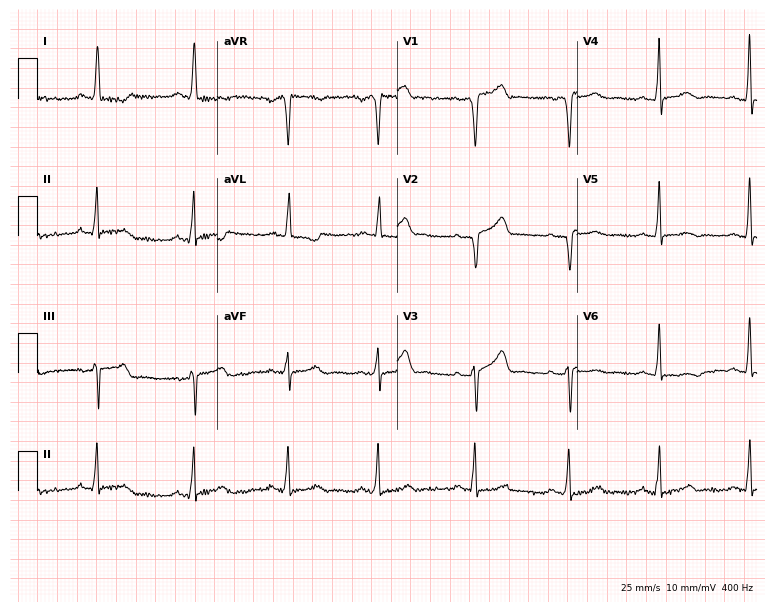
12-lead ECG from a 44-year-old woman. Screened for six findings — first-degree AV block, right bundle branch block, left bundle branch block, sinus bradycardia, atrial fibrillation, sinus tachycardia — none is recorded.